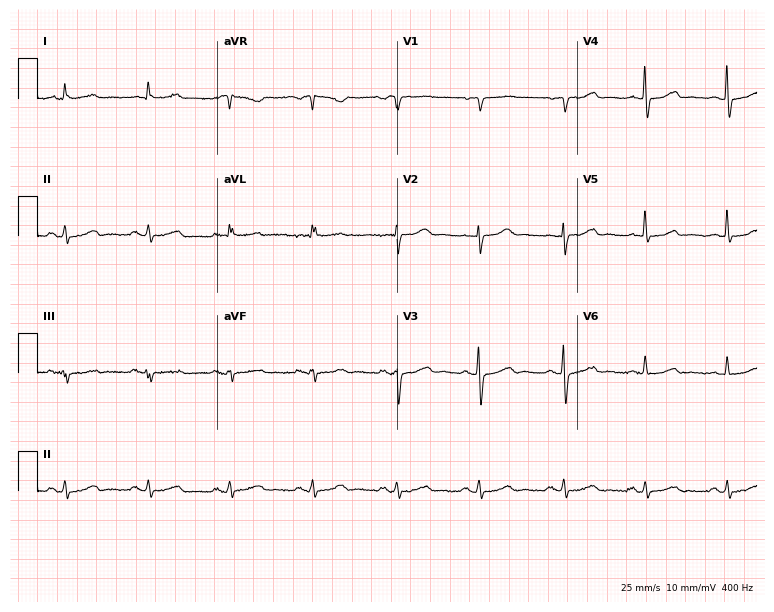
12-lead ECG from a 79-year-old male. Screened for six findings — first-degree AV block, right bundle branch block (RBBB), left bundle branch block (LBBB), sinus bradycardia, atrial fibrillation (AF), sinus tachycardia — none is recorded. Only these six findings were labelled.